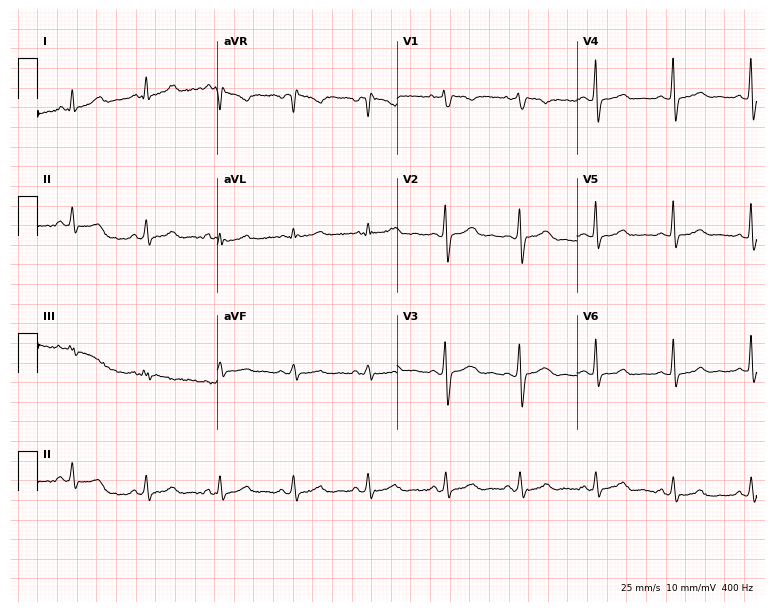
12-lead ECG from a 33-year-old female (7.3-second recording at 400 Hz). No first-degree AV block, right bundle branch block, left bundle branch block, sinus bradycardia, atrial fibrillation or sinus tachycardia recorded for this tracing. Findings outside these six are not listed.